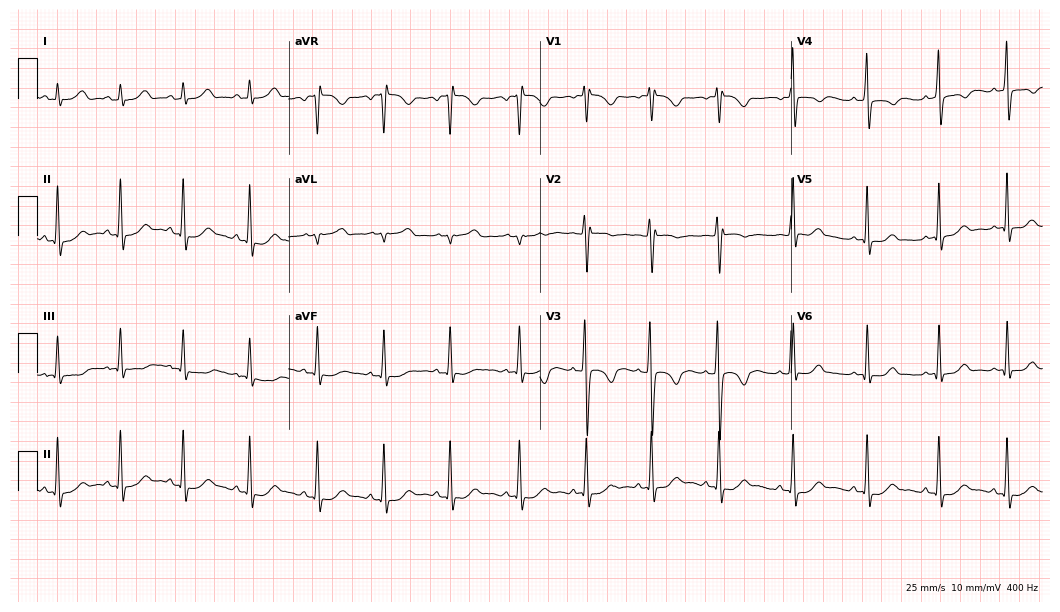
Standard 12-lead ECG recorded from a 23-year-old woman. None of these six findings is recorded: first-degree AV block, right bundle branch block, left bundle branch block, sinus bradycardia, atrial fibrillation, sinus tachycardia. Only these six findings were labelled.